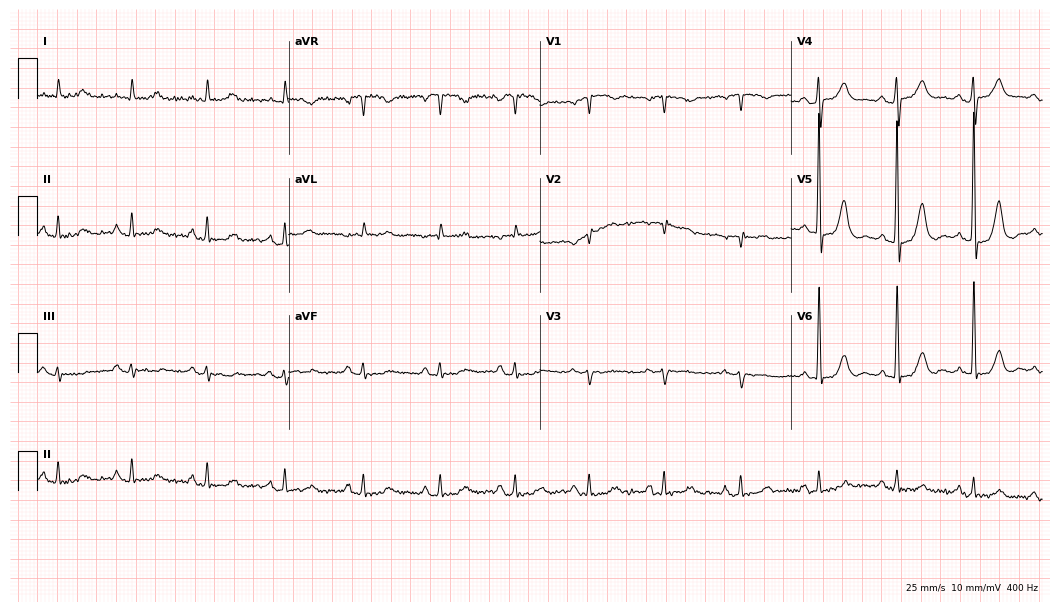
ECG — a woman, 80 years old. Screened for six findings — first-degree AV block, right bundle branch block, left bundle branch block, sinus bradycardia, atrial fibrillation, sinus tachycardia — none is recorded.